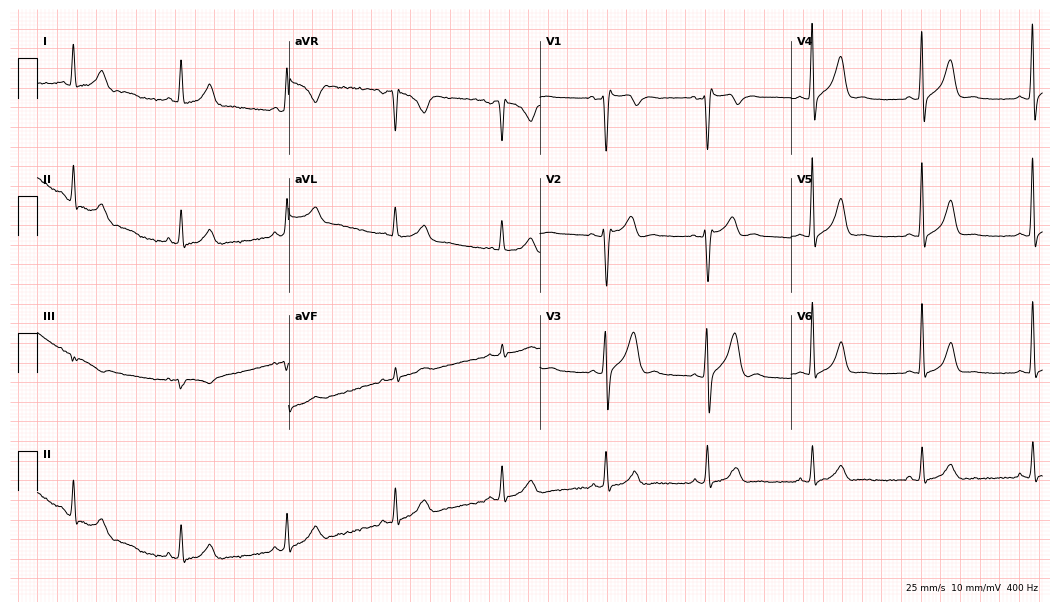
Electrocardiogram (10.2-second recording at 400 Hz), a man, 37 years old. Of the six screened findings (first-degree AV block, right bundle branch block, left bundle branch block, sinus bradycardia, atrial fibrillation, sinus tachycardia), none is recorded. Findings outside these six are not listed.